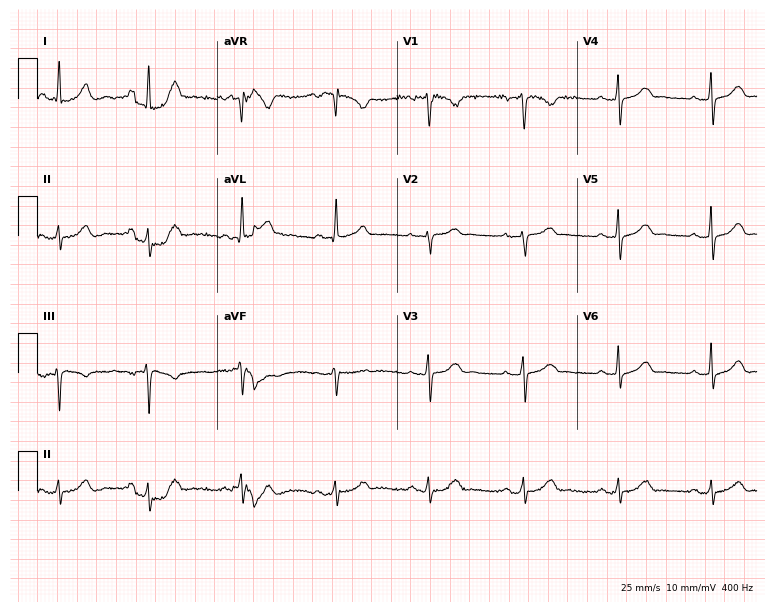
Resting 12-lead electrocardiogram. Patient: a female, 46 years old. None of these six findings is recorded: first-degree AV block, right bundle branch block (RBBB), left bundle branch block (LBBB), sinus bradycardia, atrial fibrillation (AF), sinus tachycardia. Other findings, if any, are not listed.